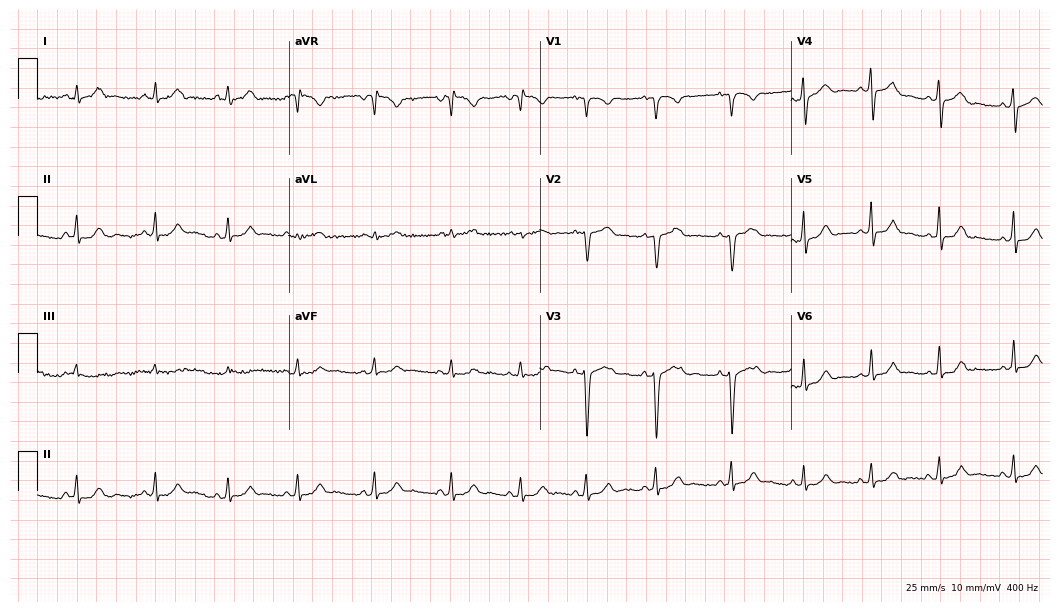
ECG (10.2-second recording at 400 Hz) — a female patient, 23 years old. Screened for six findings — first-degree AV block, right bundle branch block (RBBB), left bundle branch block (LBBB), sinus bradycardia, atrial fibrillation (AF), sinus tachycardia — none is recorded.